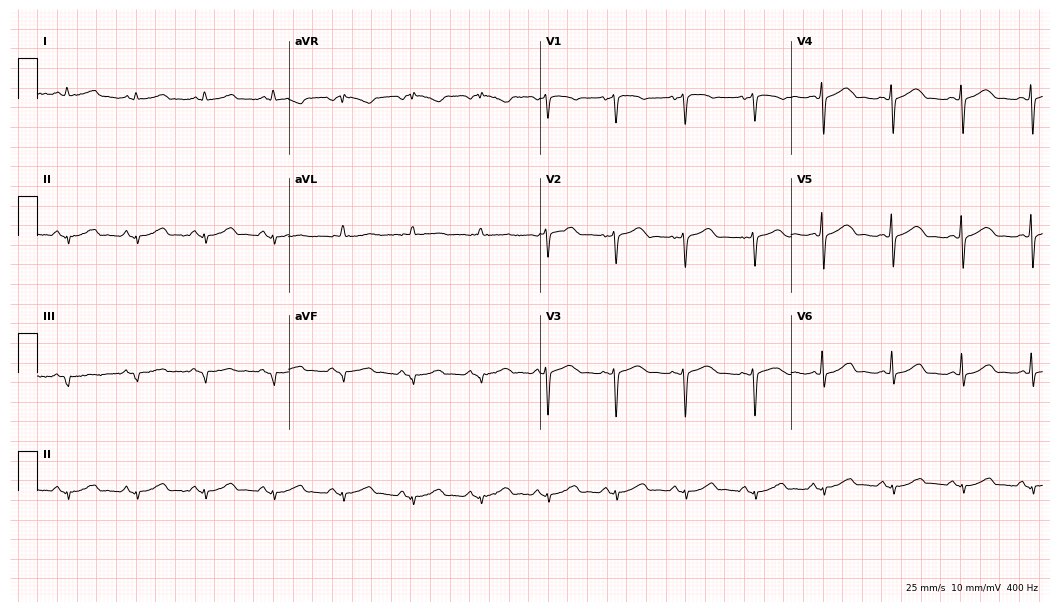
12-lead ECG from a female patient, 45 years old. Labelled as a normal ECG.